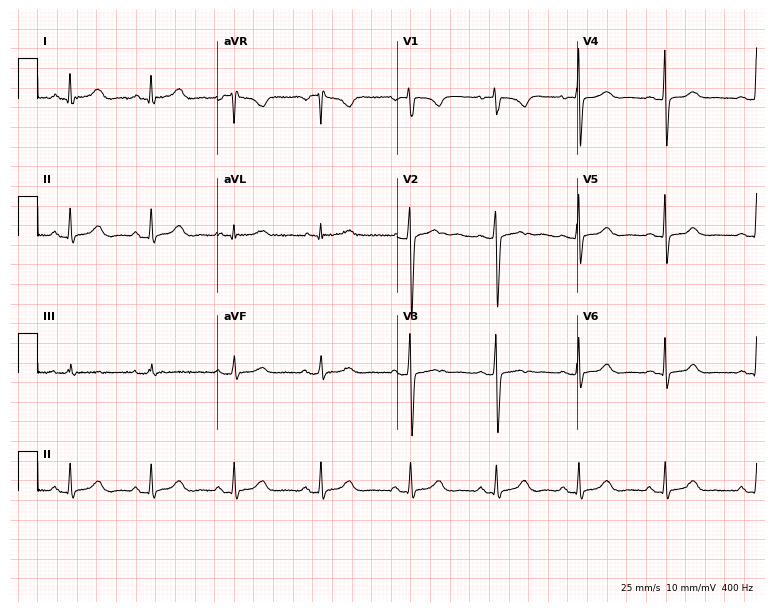
12-lead ECG from a 29-year-old woman. Screened for six findings — first-degree AV block, right bundle branch block, left bundle branch block, sinus bradycardia, atrial fibrillation, sinus tachycardia — none is recorded.